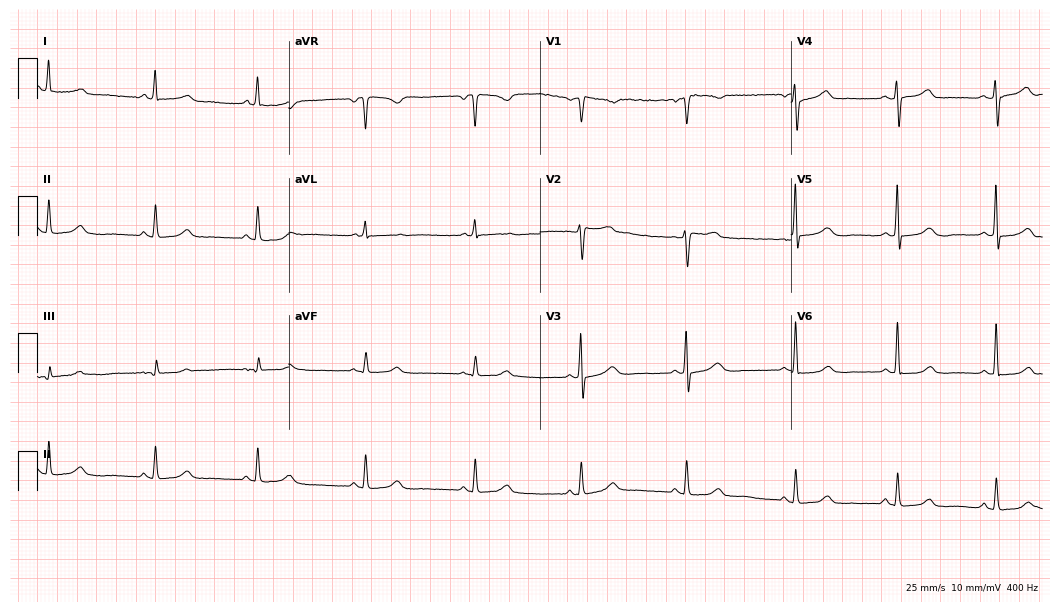
Standard 12-lead ECG recorded from a 46-year-old woman. Read as a normal ECG.